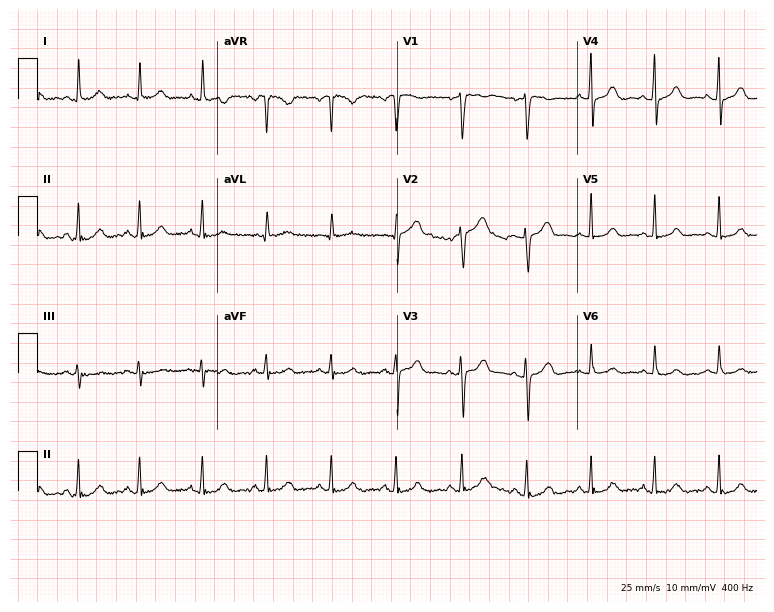
Resting 12-lead electrocardiogram (7.3-second recording at 400 Hz). Patient: a 41-year-old female. Read as a normal ECG.